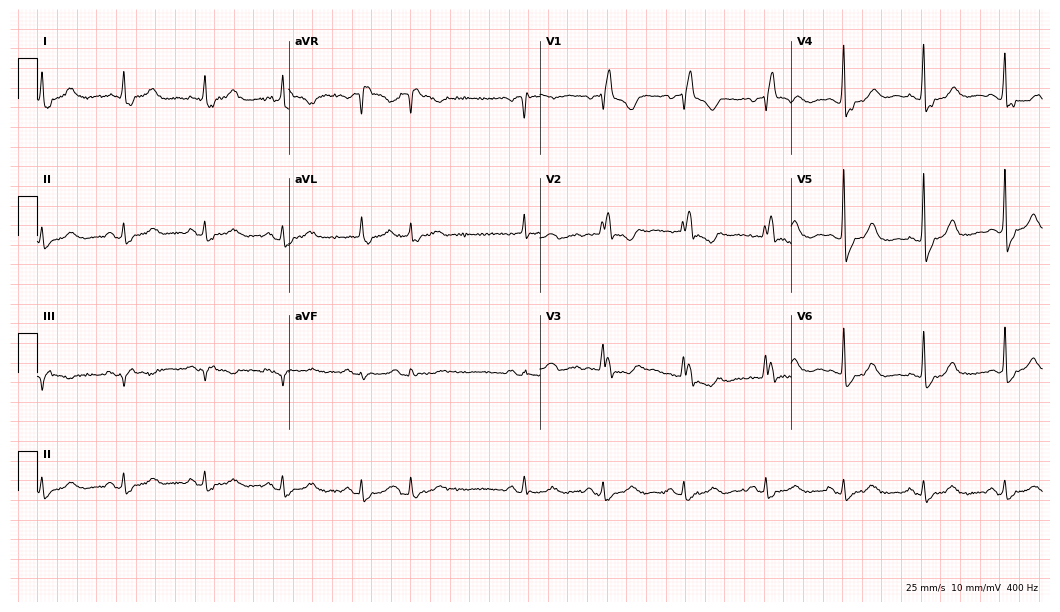
Resting 12-lead electrocardiogram. Patient: a female, 80 years old. None of these six findings is recorded: first-degree AV block, right bundle branch block, left bundle branch block, sinus bradycardia, atrial fibrillation, sinus tachycardia.